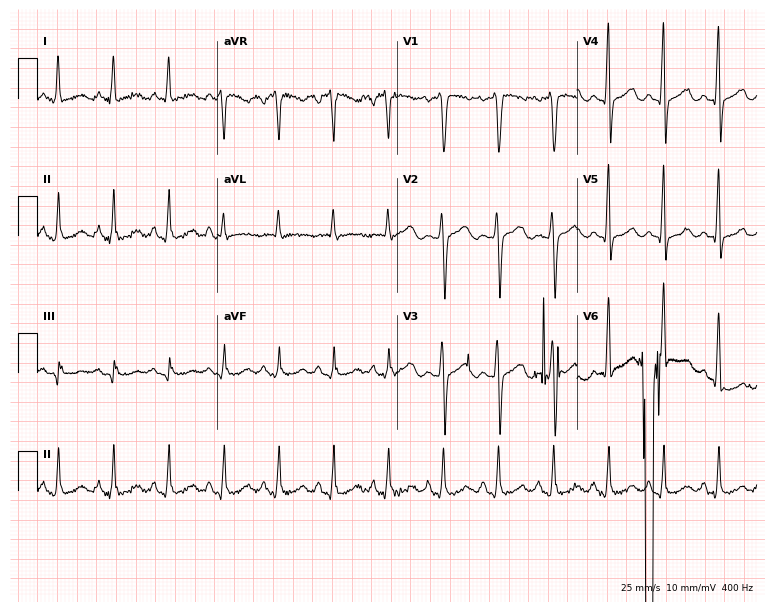
ECG — a 54-year-old female patient. Screened for six findings — first-degree AV block, right bundle branch block (RBBB), left bundle branch block (LBBB), sinus bradycardia, atrial fibrillation (AF), sinus tachycardia — none is recorded. Only these six findings were labelled.